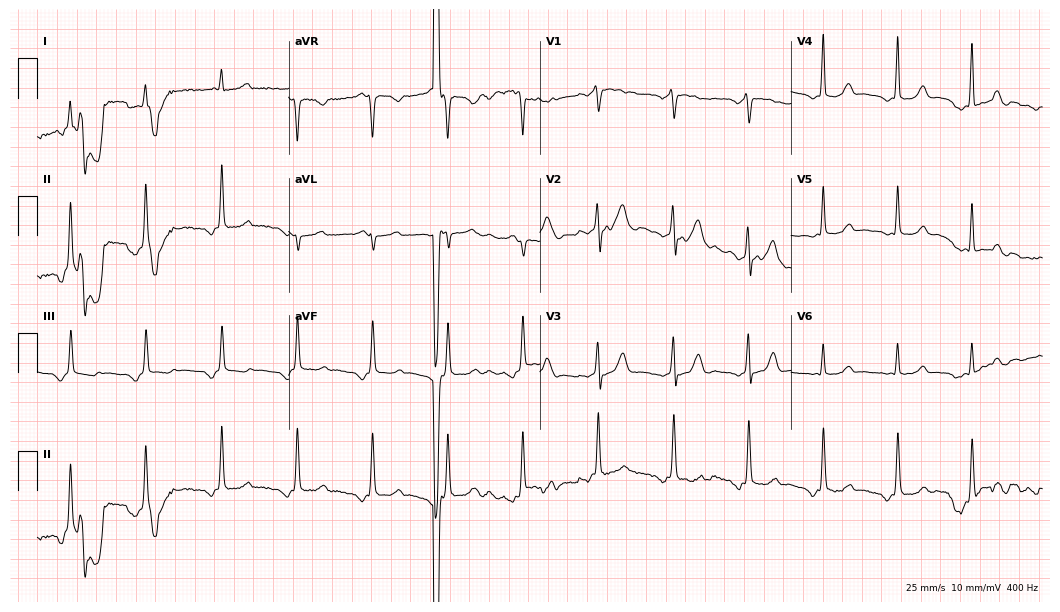
Resting 12-lead electrocardiogram. Patient: a 26-year-old female. None of these six findings is recorded: first-degree AV block, right bundle branch block, left bundle branch block, sinus bradycardia, atrial fibrillation, sinus tachycardia.